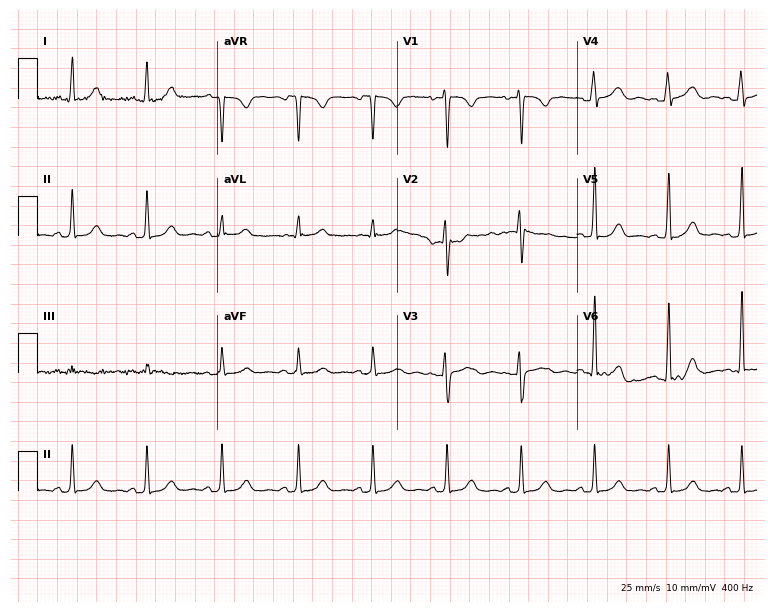
12-lead ECG (7.3-second recording at 400 Hz) from a woman, 40 years old. Labelled as a normal ECG.